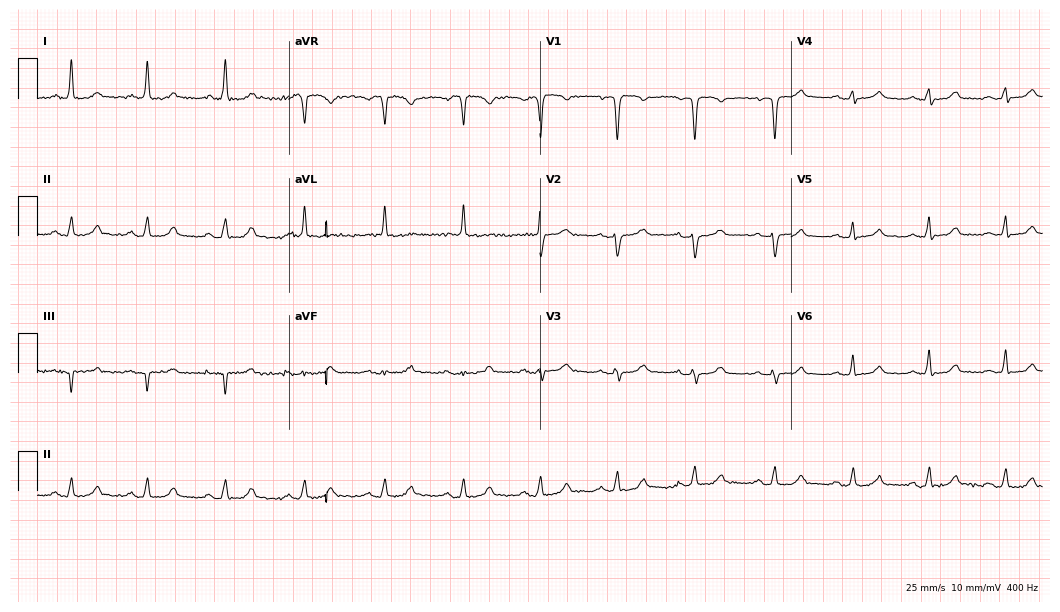
12-lead ECG (10.2-second recording at 400 Hz) from a 64-year-old female patient. Screened for six findings — first-degree AV block, right bundle branch block, left bundle branch block, sinus bradycardia, atrial fibrillation, sinus tachycardia — none is recorded. Findings outside these six are not listed.